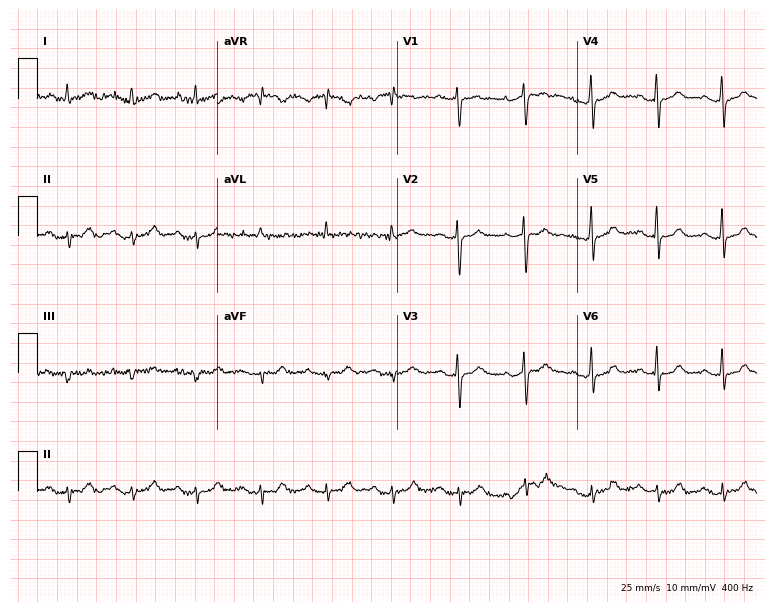
12-lead ECG from a 78-year-old male patient. Screened for six findings — first-degree AV block, right bundle branch block, left bundle branch block, sinus bradycardia, atrial fibrillation, sinus tachycardia — none is recorded. Other findings, if any, are not listed.